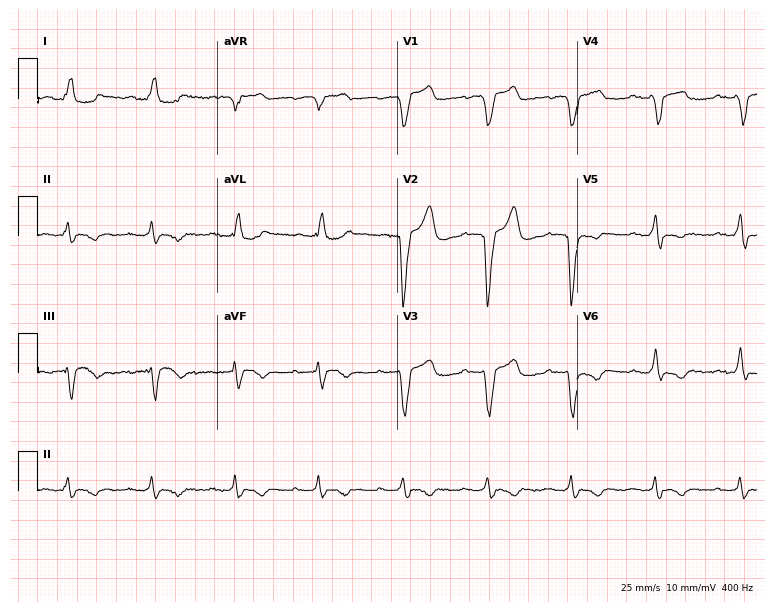
12-lead ECG from a man, 61 years old (7.3-second recording at 400 Hz). Shows left bundle branch block.